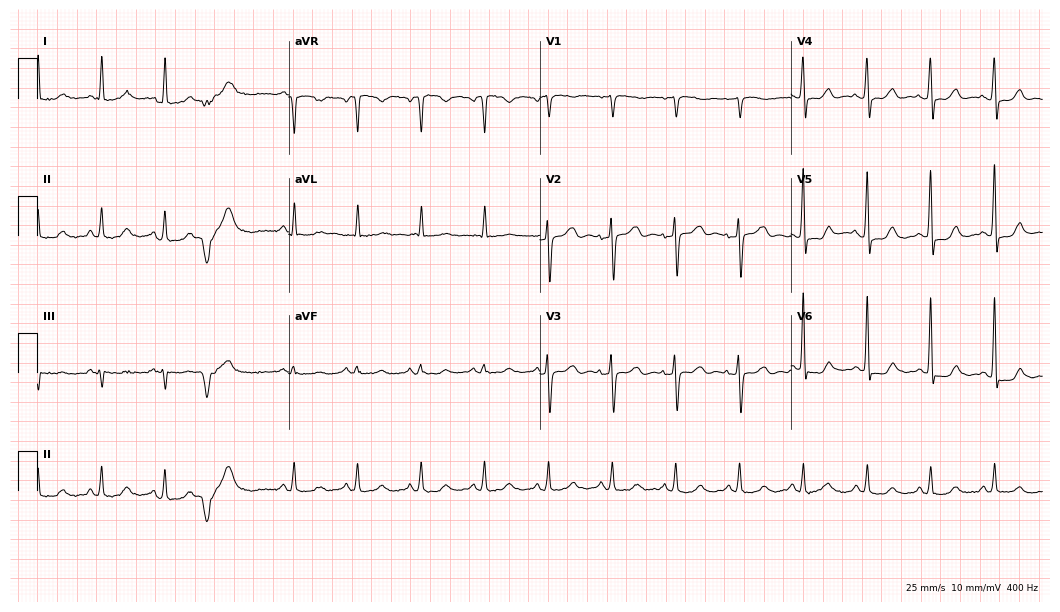
Resting 12-lead electrocardiogram (10.2-second recording at 400 Hz). Patient: a woman, 78 years old. Read as a normal ECG.